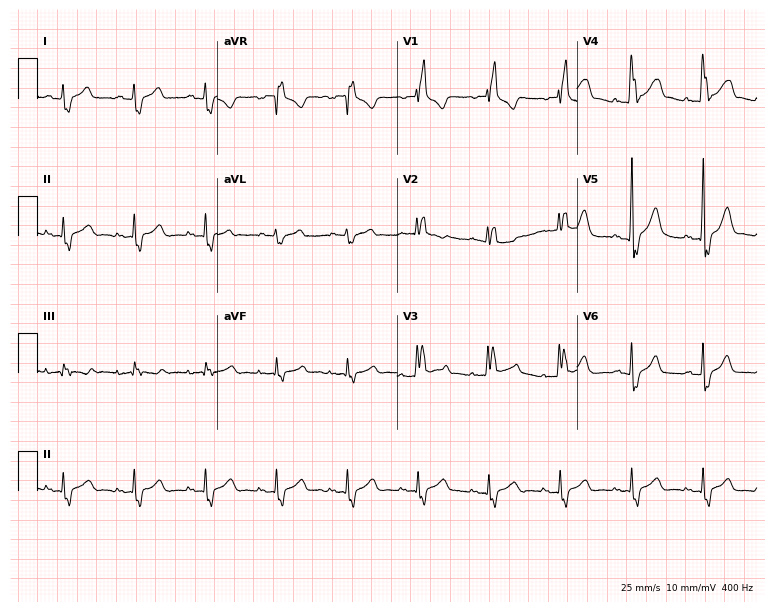
ECG — a male patient, 34 years old. Findings include right bundle branch block.